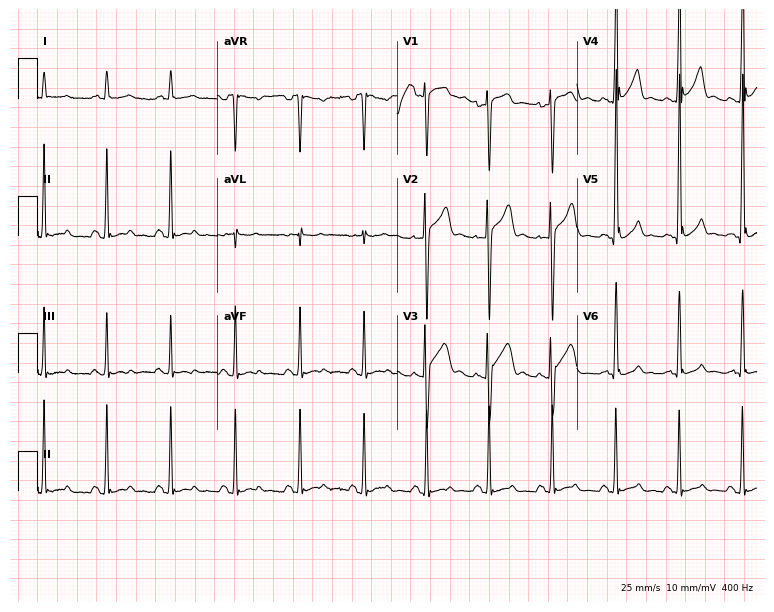
Standard 12-lead ECG recorded from a 34-year-old male patient. Read as a normal ECG.